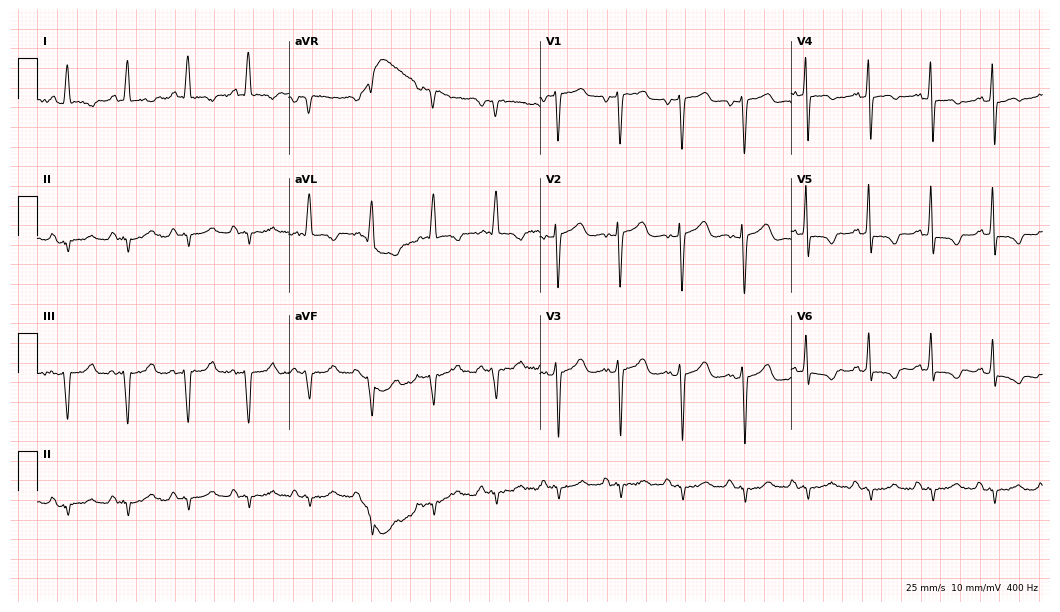
Electrocardiogram (10.2-second recording at 400 Hz), a male patient, 73 years old. Of the six screened findings (first-degree AV block, right bundle branch block, left bundle branch block, sinus bradycardia, atrial fibrillation, sinus tachycardia), none is recorded. Only these six findings were labelled.